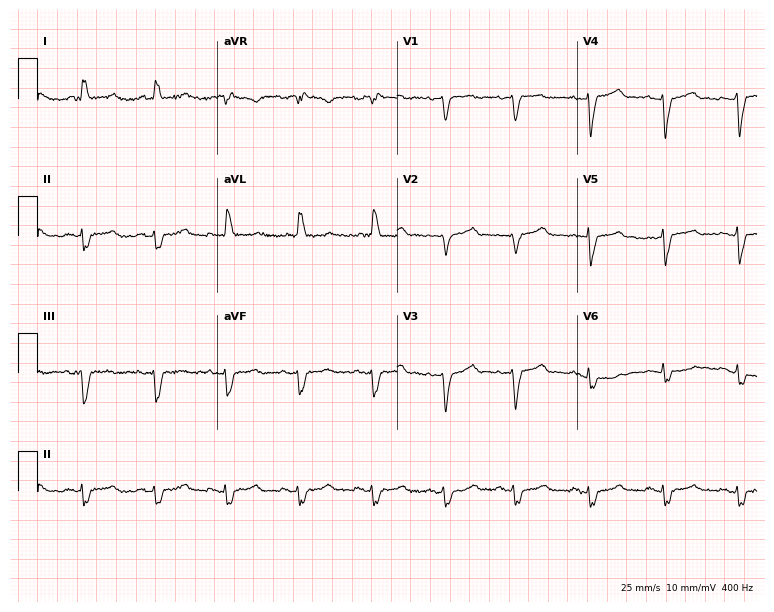
Resting 12-lead electrocardiogram (7.3-second recording at 400 Hz). Patient: a 75-year-old woman. The tracing shows left bundle branch block.